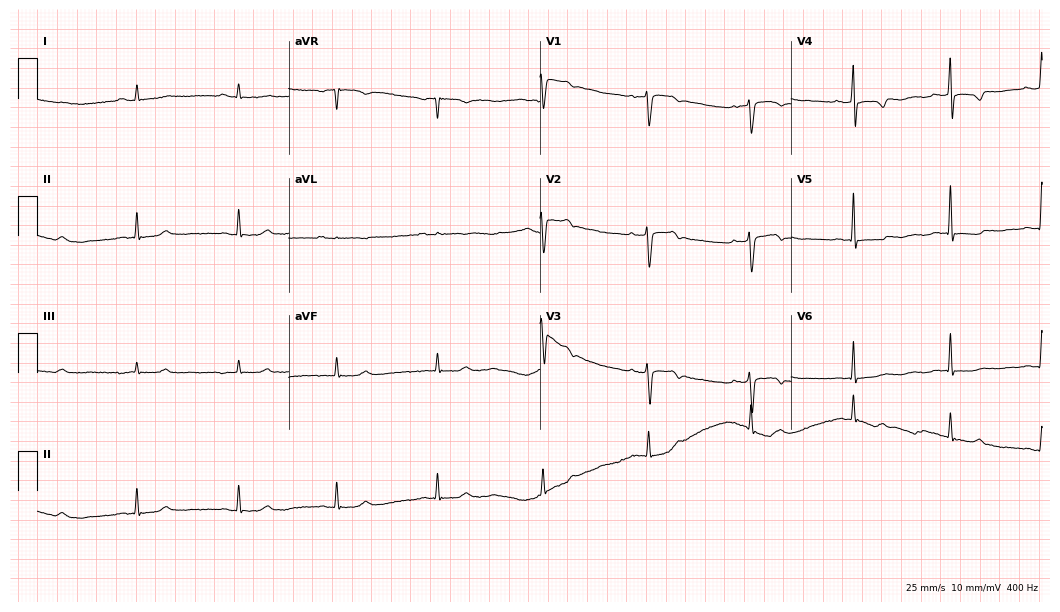
ECG — a 43-year-old female patient. Labelled as a normal ECG.